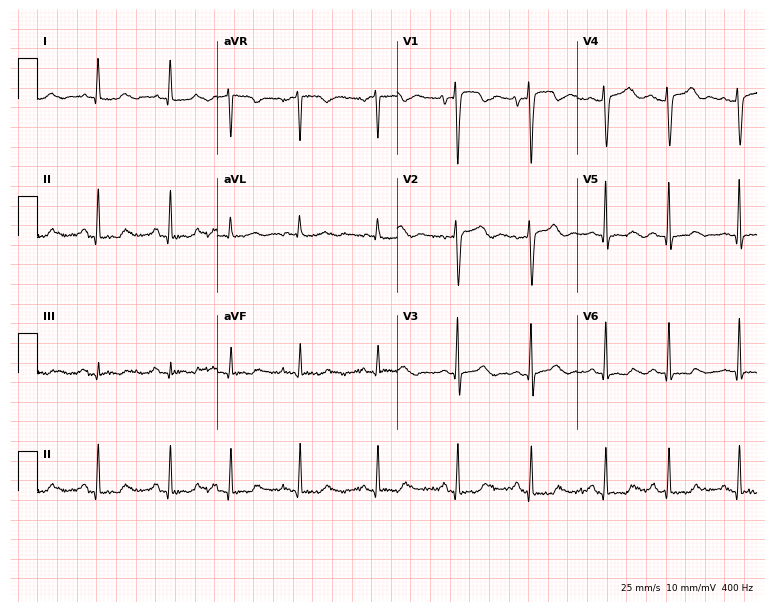
12-lead ECG from a woman, 83 years old (7.3-second recording at 400 Hz). No first-degree AV block, right bundle branch block, left bundle branch block, sinus bradycardia, atrial fibrillation or sinus tachycardia recorded for this tracing.